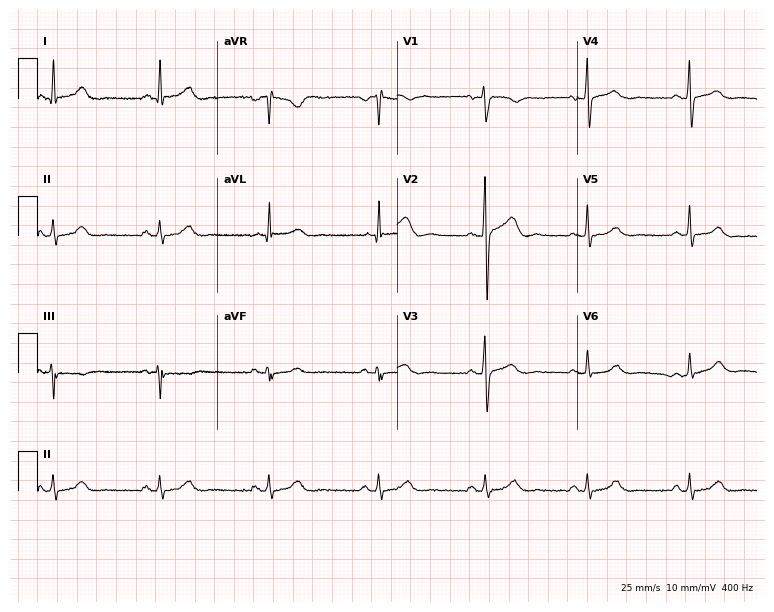
Standard 12-lead ECG recorded from a 61-year-old male patient. None of these six findings is recorded: first-degree AV block, right bundle branch block, left bundle branch block, sinus bradycardia, atrial fibrillation, sinus tachycardia.